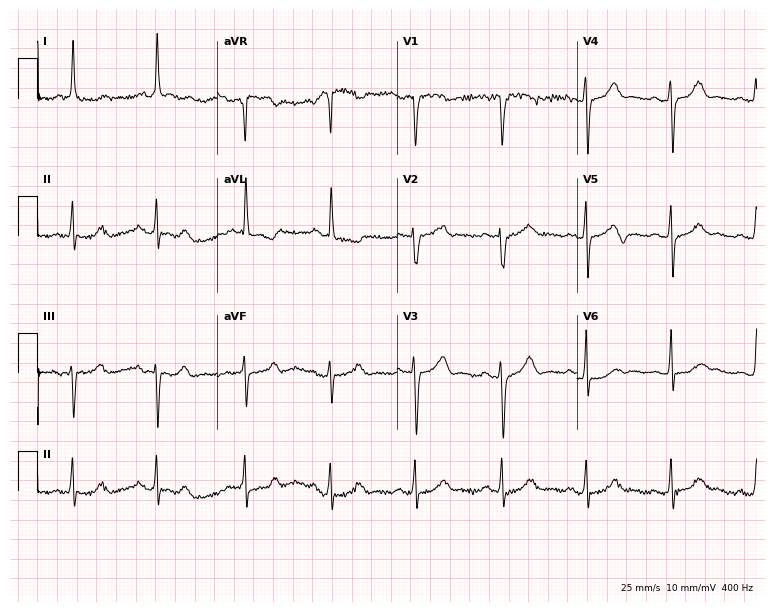
Electrocardiogram, a female, 71 years old. Of the six screened findings (first-degree AV block, right bundle branch block, left bundle branch block, sinus bradycardia, atrial fibrillation, sinus tachycardia), none is recorded.